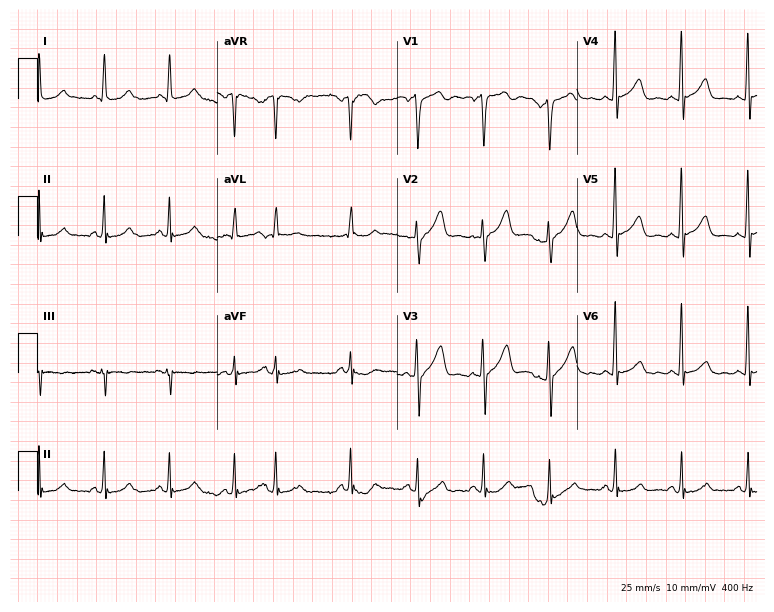
12-lead ECG from a male patient, 66 years old. Screened for six findings — first-degree AV block, right bundle branch block, left bundle branch block, sinus bradycardia, atrial fibrillation, sinus tachycardia — none is recorded. Findings outside these six are not listed.